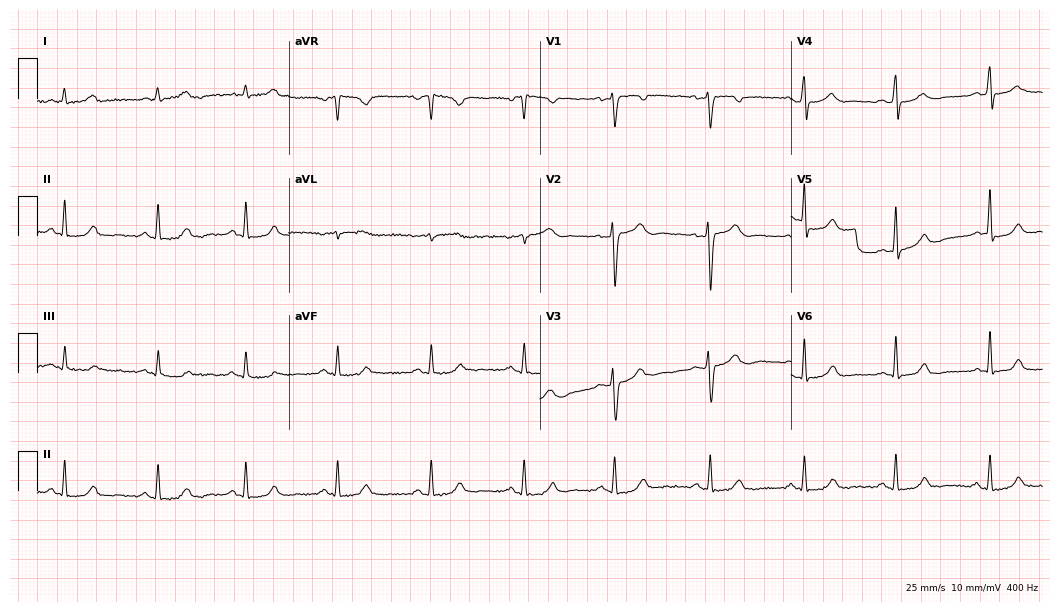
12-lead ECG from a female, 41 years old (10.2-second recording at 400 Hz). No first-degree AV block, right bundle branch block, left bundle branch block, sinus bradycardia, atrial fibrillation or sinus tachycardia recorded for this tracing. Only these six findings were labelled.